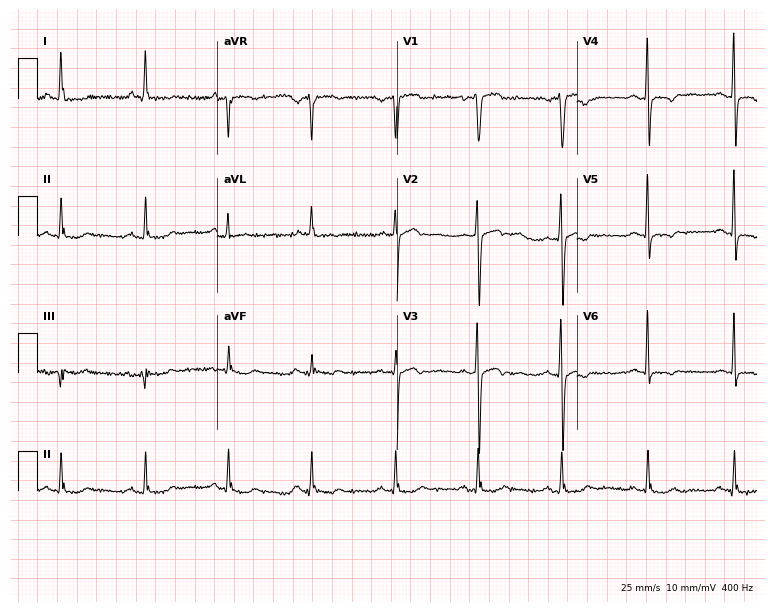
12-lead ECG from a 56-year-old male. Screened for six findings — first-degree AV block, right bundle branch block (RBBB), left bundle branch block (LBBB), sinus bradycardia, atrial fibrillation (AF), sinus tachycardia — none is recorded.